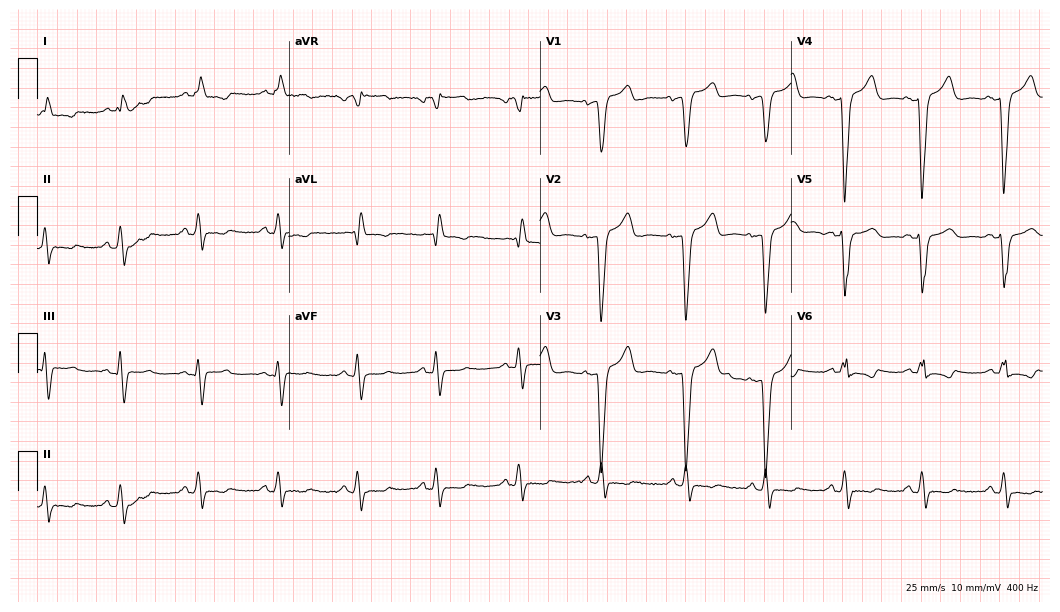
Electrocardiogram (10.2-second recording at 400 Hz), a female patient, 77 years old. Of the six screened findings (first-degree AV block, right bundle branch block (RBBB), left bundle branch block (LBBB), sinus bradycardia, atrial fibrillation (AF), sinus tachycardia), none is recorded.